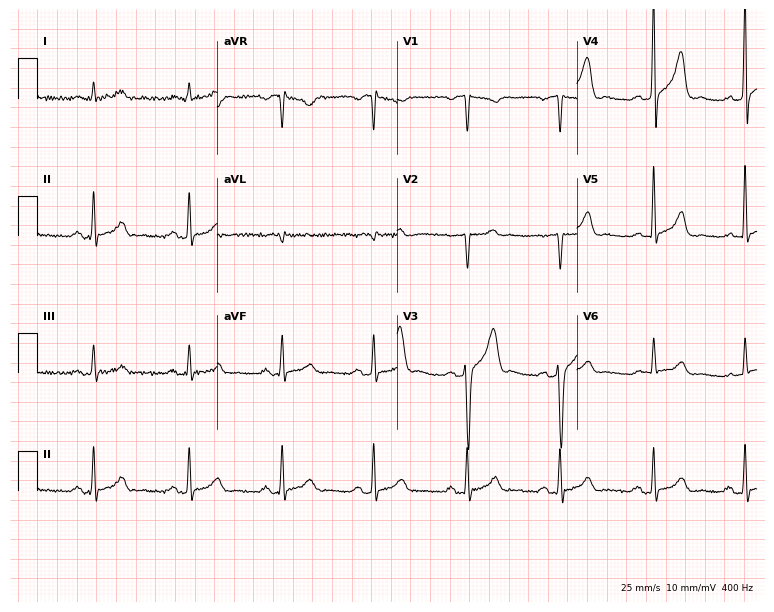
Electrocardiogram (7.3-second recording at 400 Hz), a male, 39 years old. Of the six screened findings (first-degree AV block, right bundle branch block, left bundle branch block, sinus bradycardia, atrial fibrillation, sinus tachycardia), none is recorded.